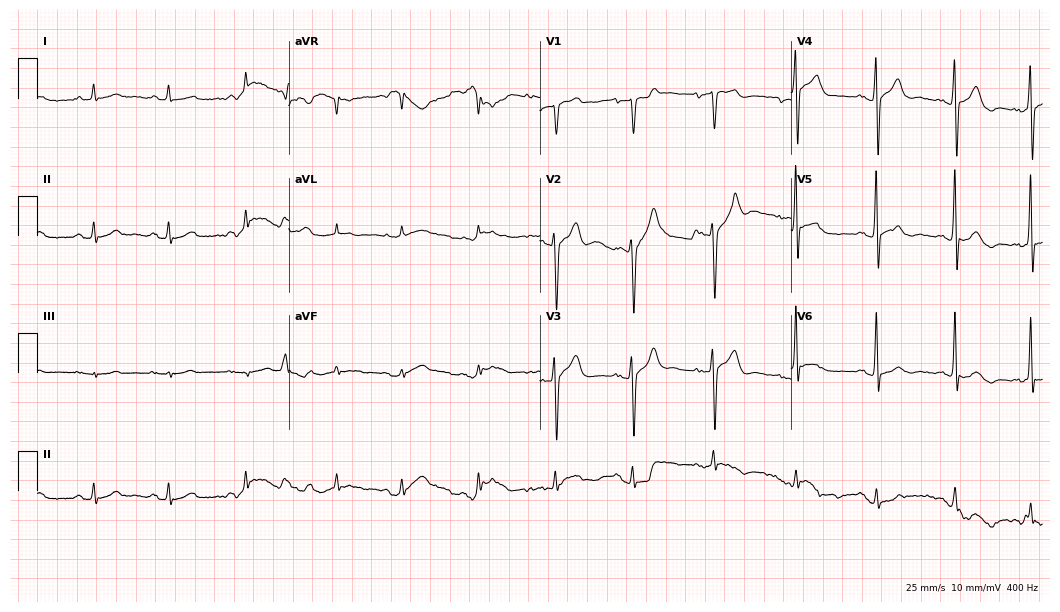
12-lead ECG from a 57-year-old woman. Recorded interpretation: within normal limits.